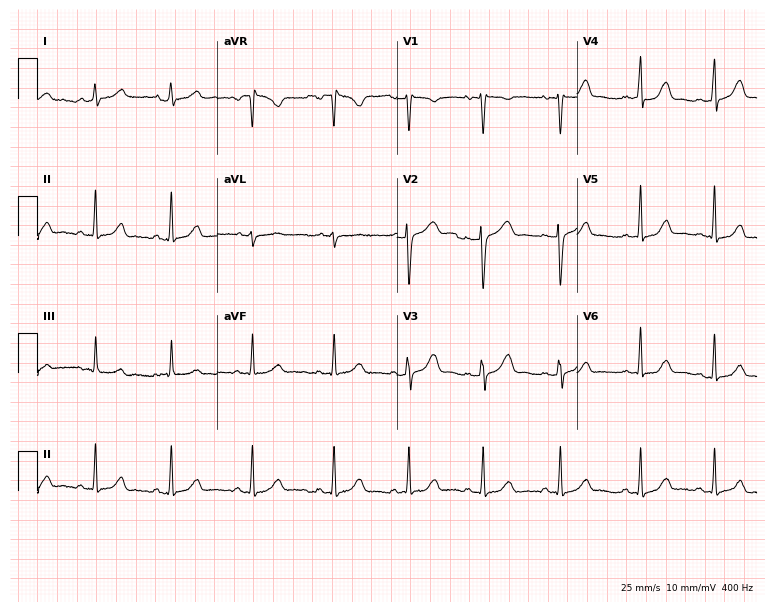
Standard 12-lead ECG recorded from a female patient, 23 years old. Read as a normal ECG.